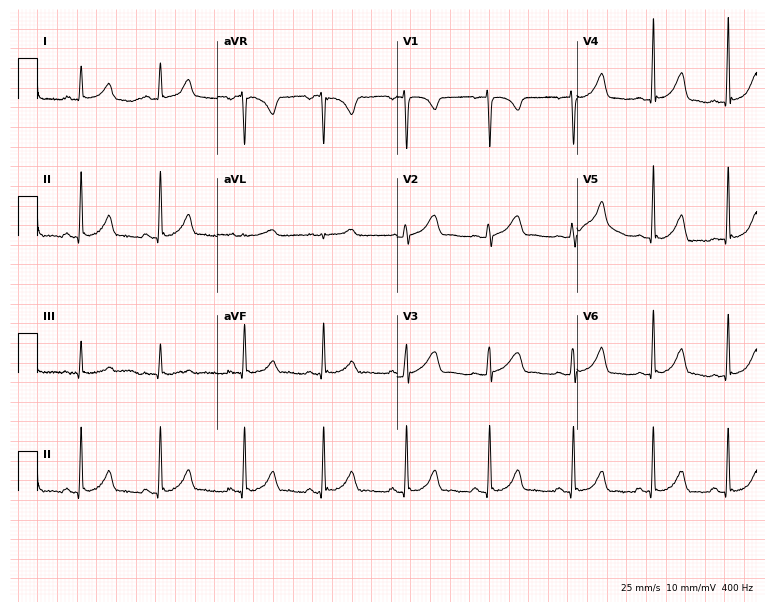
Resting 12-lead electrocardiogram (7.3-second recording at 400 Hz). Patient: a 31-year-old female. Read as a normal ECG.